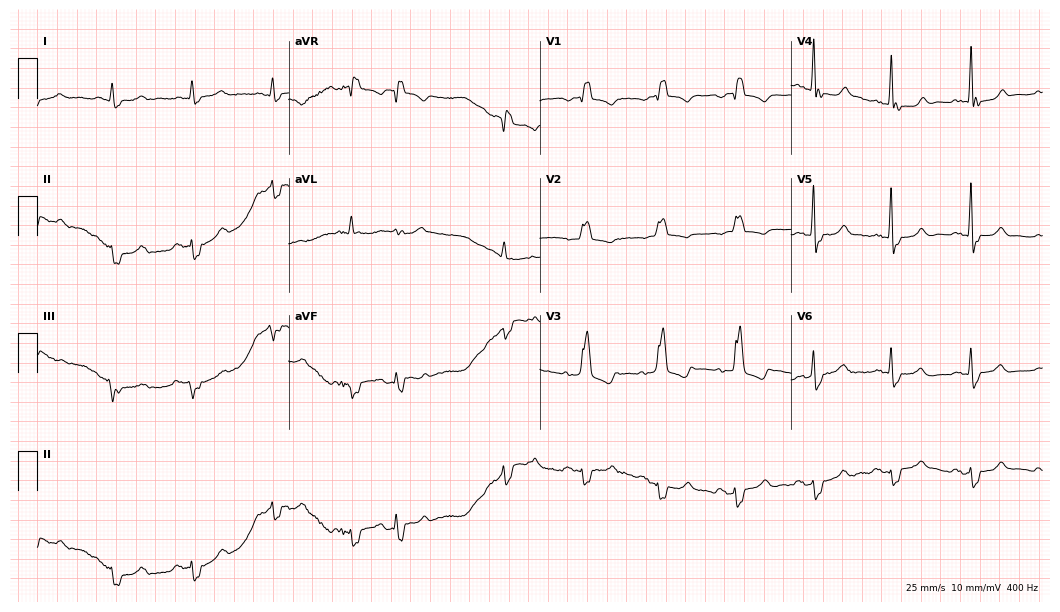
ECG — an 83-year-old male patient. Findings include right bundle branch block.